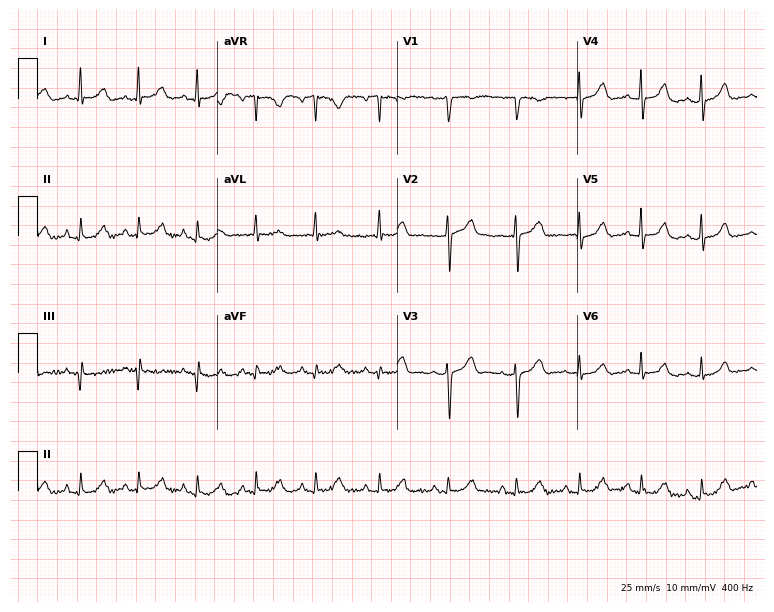
12-lead ECG from a 56-year-old woman. Screened for six findings — first-degree AV block, right bundle branch block, left bundle branch block, sinus bradycardia, atrial fibrillation, sinus tachycardia — none is recorded.